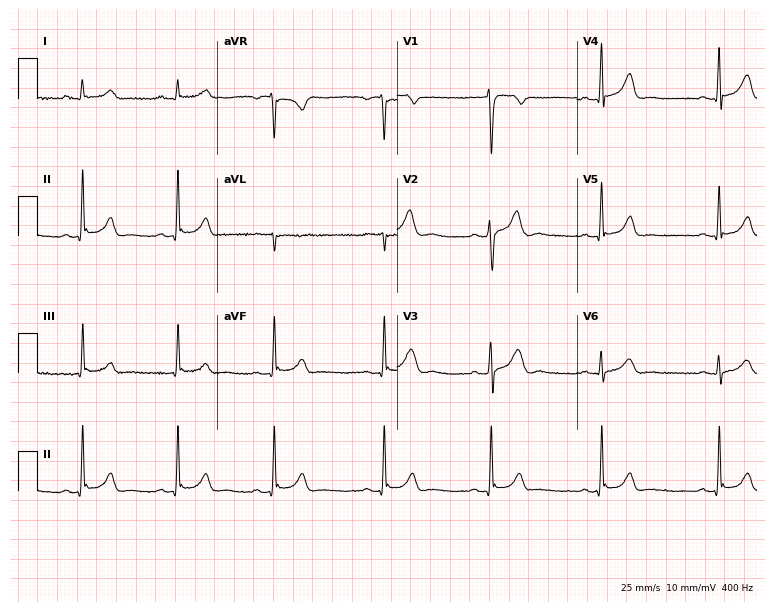
Resting 12-lead electrocardiogram (7.3-second recording at 400 Hz). Patient: a 25-year-old male. None of these six findings is recorded: first-degree AV block, right bundle branch block, left bundle branch block, sinus bradycardia, atrial fibrillation, sinus tachycardia.